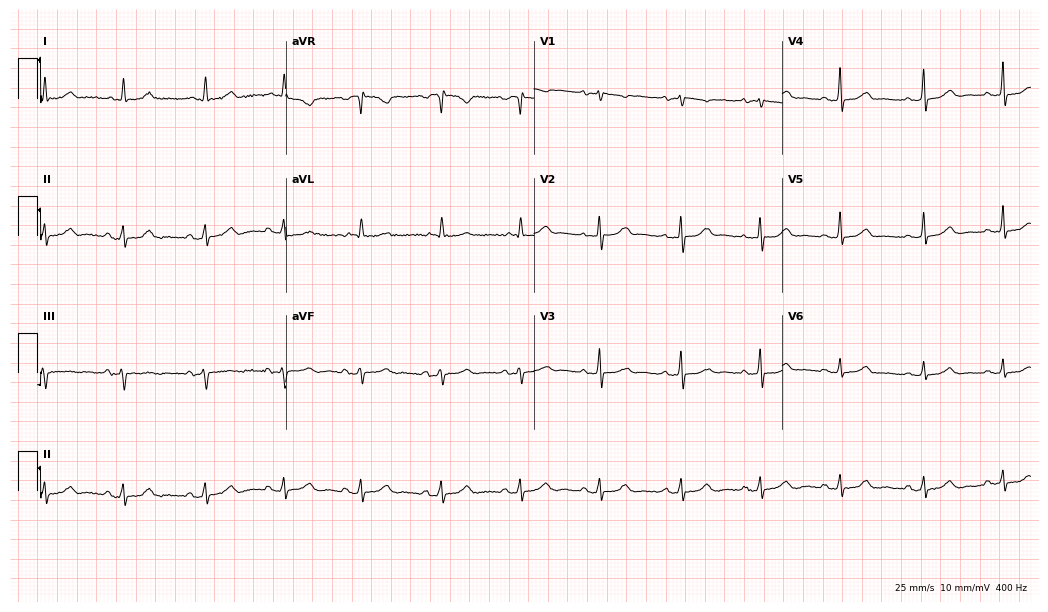
12-lead ECG (10.1-second recording at 400 Hz) from a female patient, 65 years old. Labelled as a normal ECG.